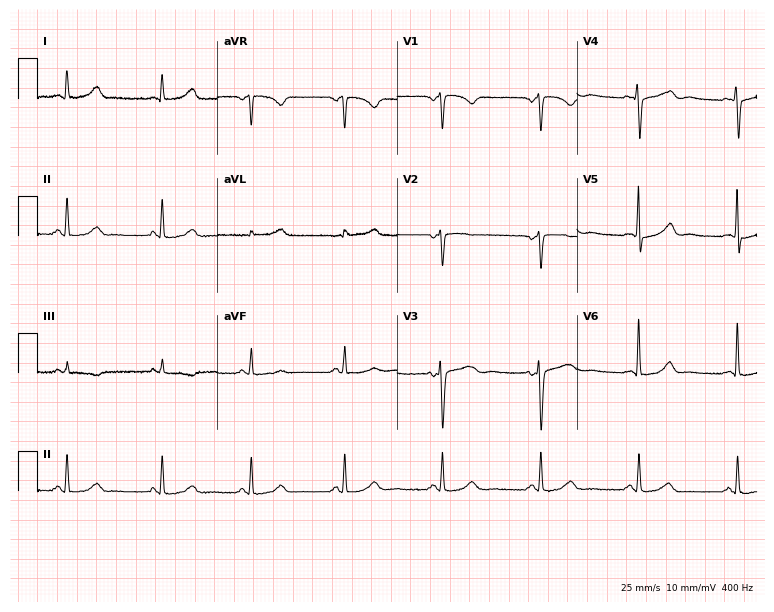
ECG (7.3-second recording at 400 Hz) — a 51-year-old female. Screened for six findings — first-degree AV block, right bundle branch block, left bundle branch block, sinus bradycardia, atrial fibrillation, sinus tachycardia — none is recorded.